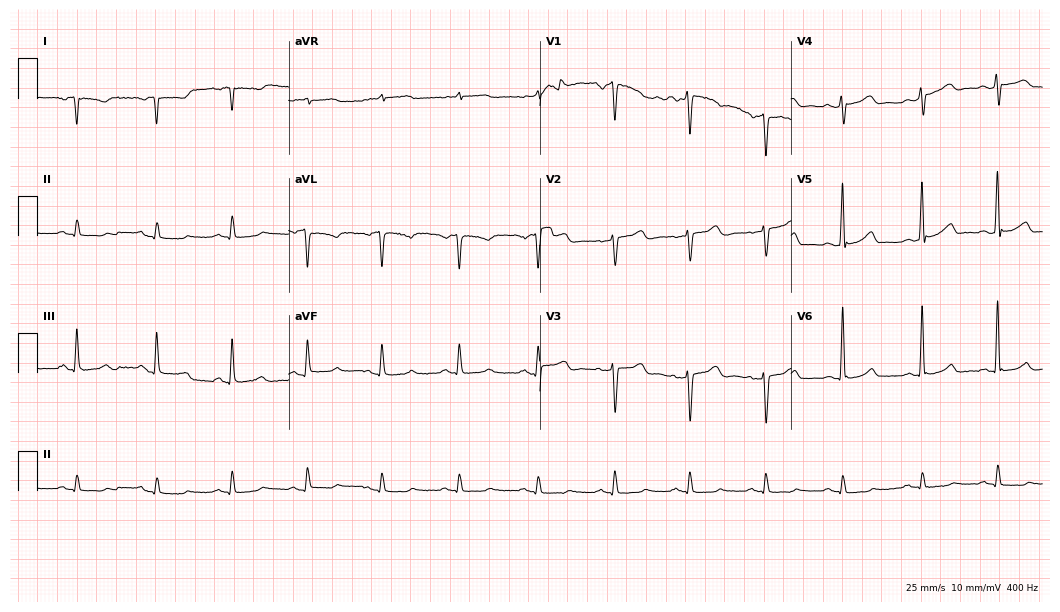
ECG (10.2-second recording at 400 Hz) — a female, 49 years old. Screened for six findings — first-degree AV block, right bundle branch block, left bundle branch block, sinus bradycardia, atrial fibrillation, sinus tachycardia — none is recorded. Other findings, if any, are not listed.